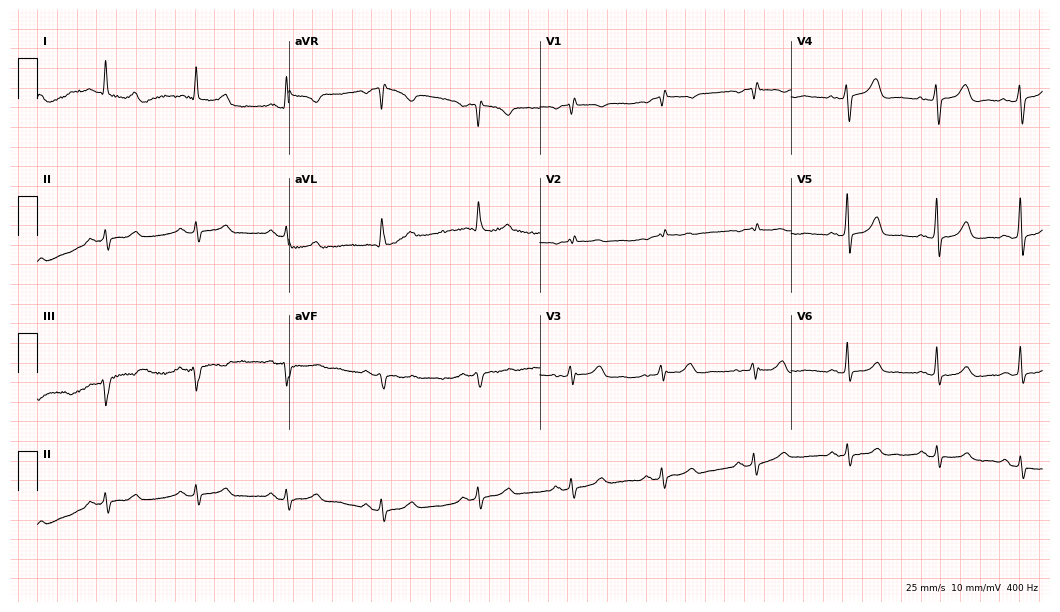
12-lead ECG from a woman, 59 years old. No first-degree AV block, right bundle branch block, left bundle branch block, sinus bradycardia, atrial fibrillation or sinus tachycardia recorded for this tracing. Only these six findings were labelled.